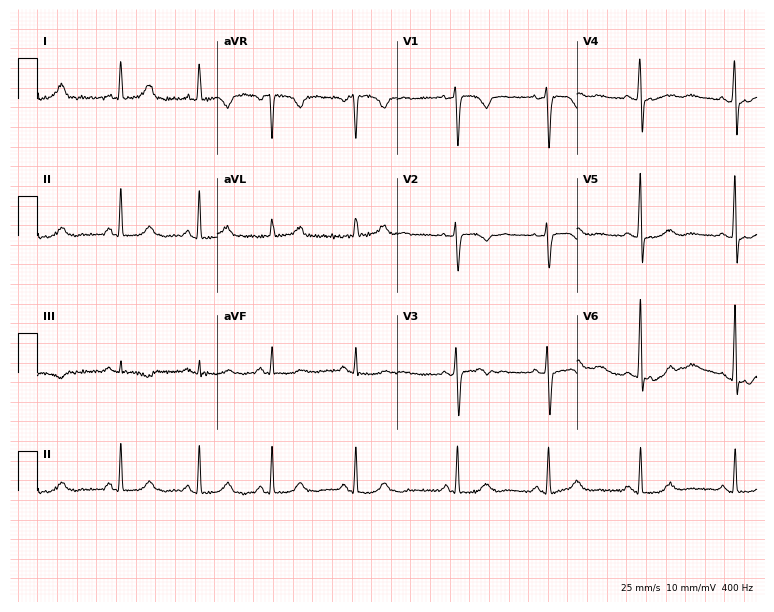
Electrocardiogram, a female, 49 years old. Overall reading on record: normal ECG.